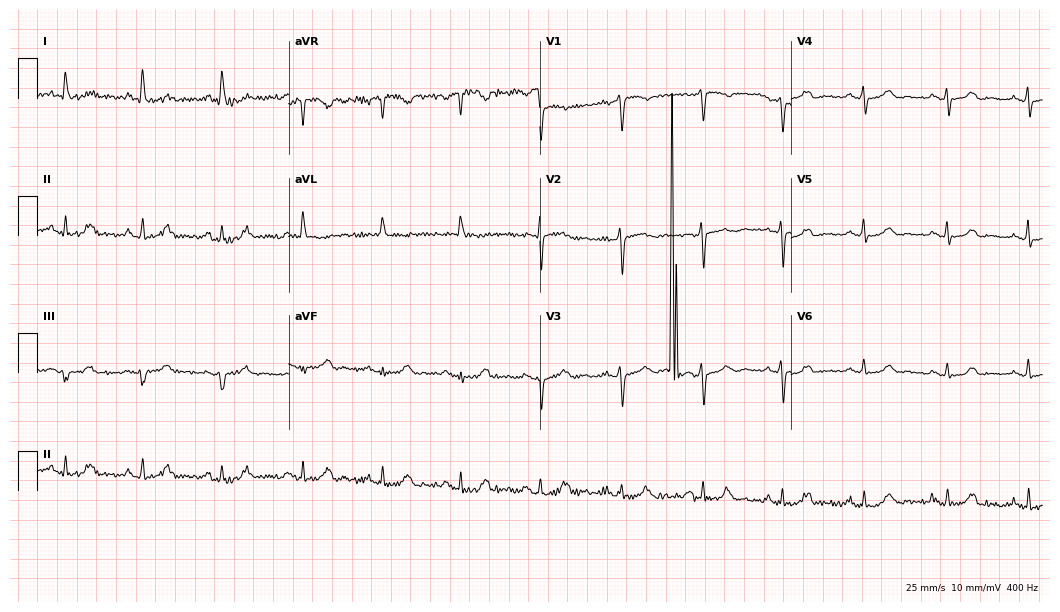
Standard 12-lead ECG recorded from a 70-year-old female (10.2-second recording at 400 Hz). Read as a normal ECG.